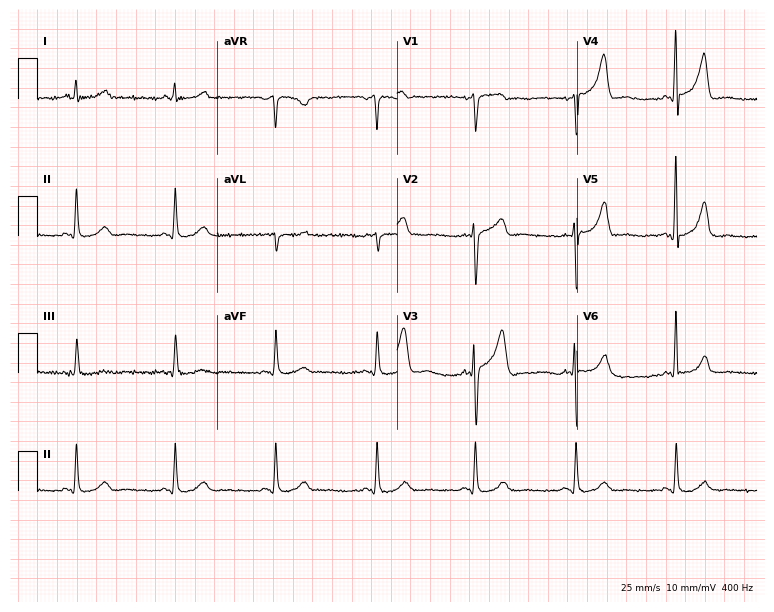
Electrocardiogram, a 70-year-old male patient. Overall reading on record: normal ECG.